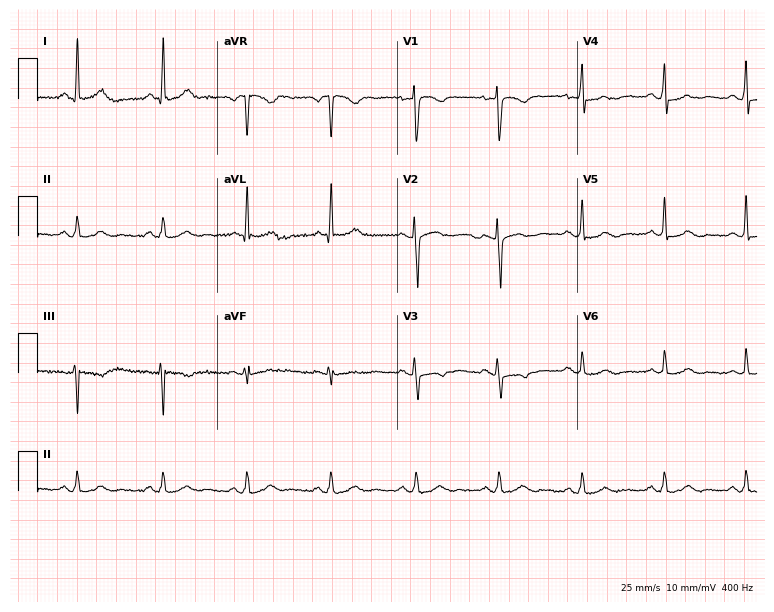
12-lead ECG from a female patient, 54 years old. Labelled as a normal ECG.